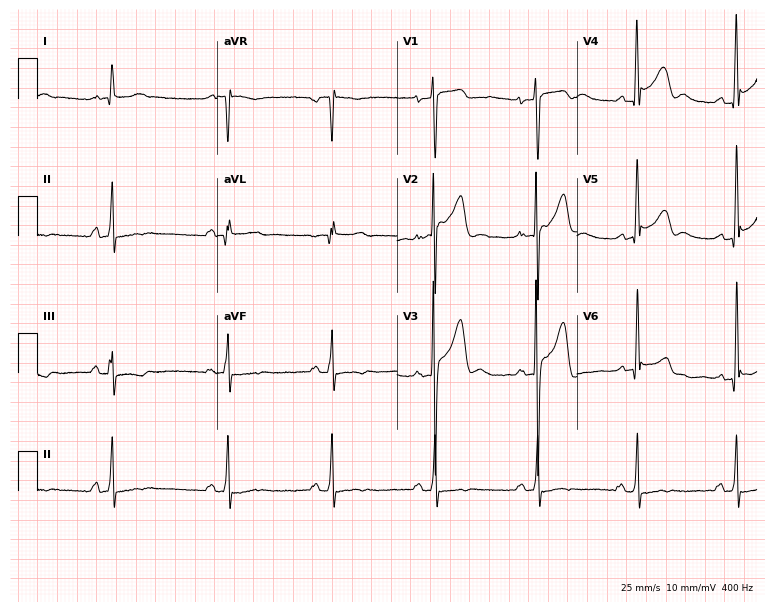
12-lead ECG from a man, 37 years old. No first-degree AV block, right bundle branch block, left bundle branch block, sinus bradycardia, atrial fibrillation or sinus tachycardia recorded for this tracing.